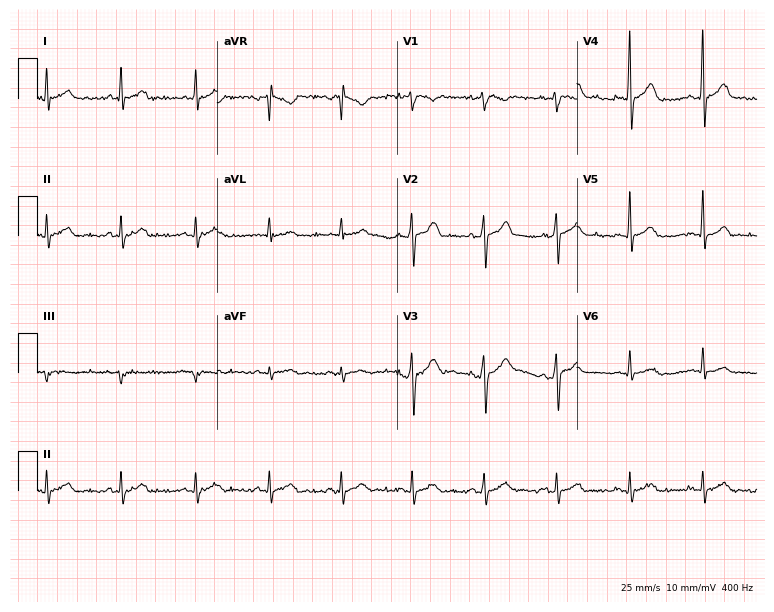
Standard 12-lead ECG recorded from a 28-year-old male. Read as a normal ECG.